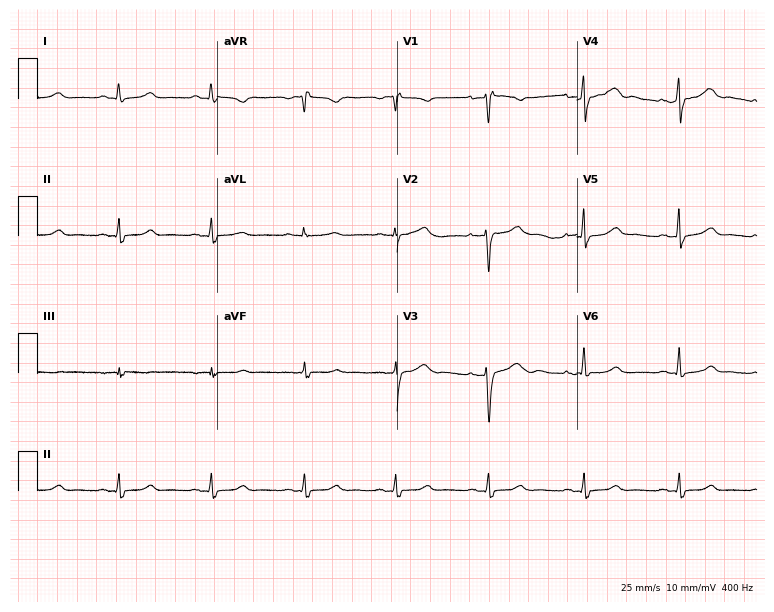
ECG (7.3-second recording at 400 Hz) — a 45-year-old female patient. Labelled as a normal ECG.